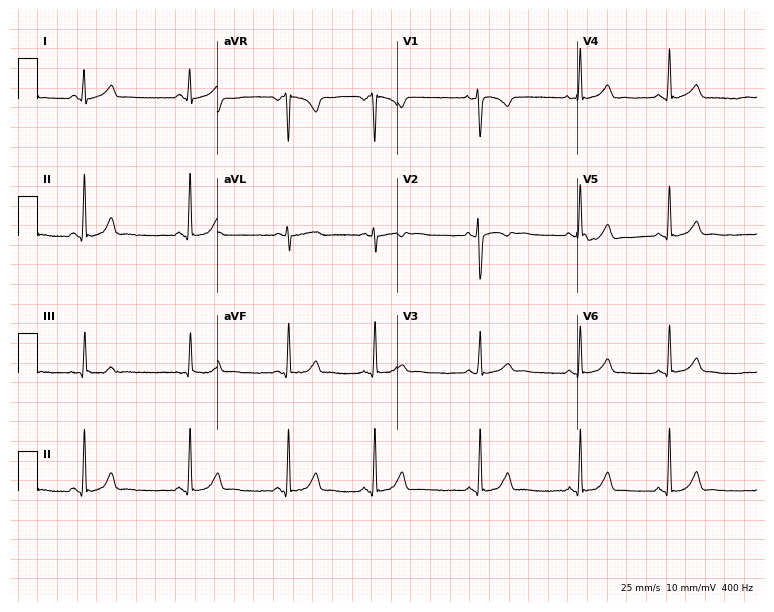
ECG — a 21-year-old female. Screened for six findings — first-degree AV block, right bundle branch block, left bundle branch block, sinus bradycardia, atrial fibrillation, sinus tachycardia — none is recorded. Other findings, if any, are not listed.